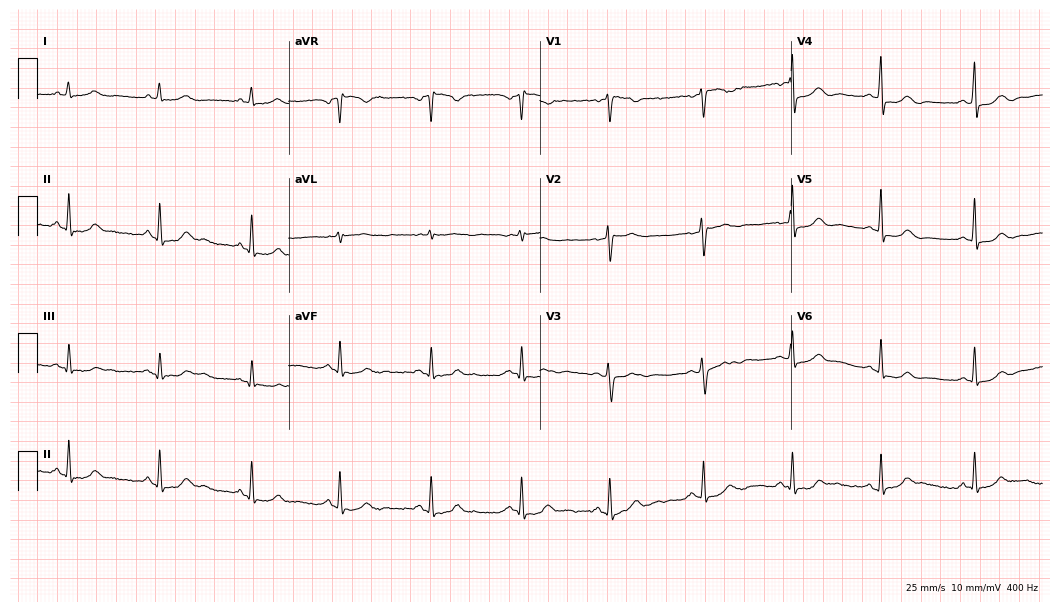
12-lead ECG from a 42-year-old female. Screened for six findings — first-degree AV block, right bundle branch block, left bundle branch block, sinus bradycardia, atrial fibrillation, sinus tachycardia — none is recorded.